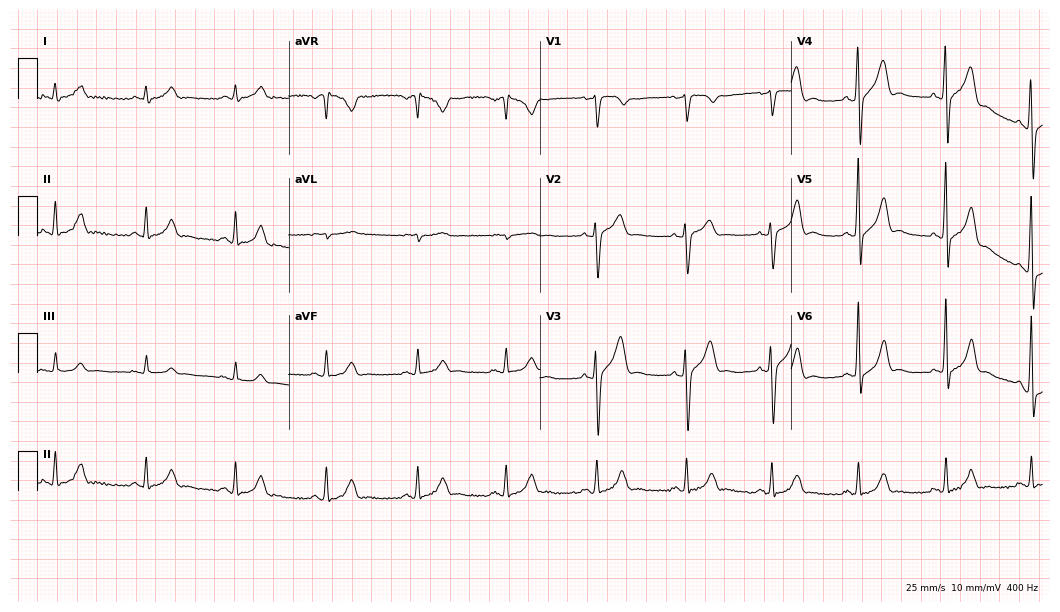
12-lead ECG from a 36-year-old male patient. Screened for six findings — first-degree AV block, right bundle branch block, left bundle branch block, sinus bradycardia, atrial fibrillation, sinus tachycardia — none is recorded.